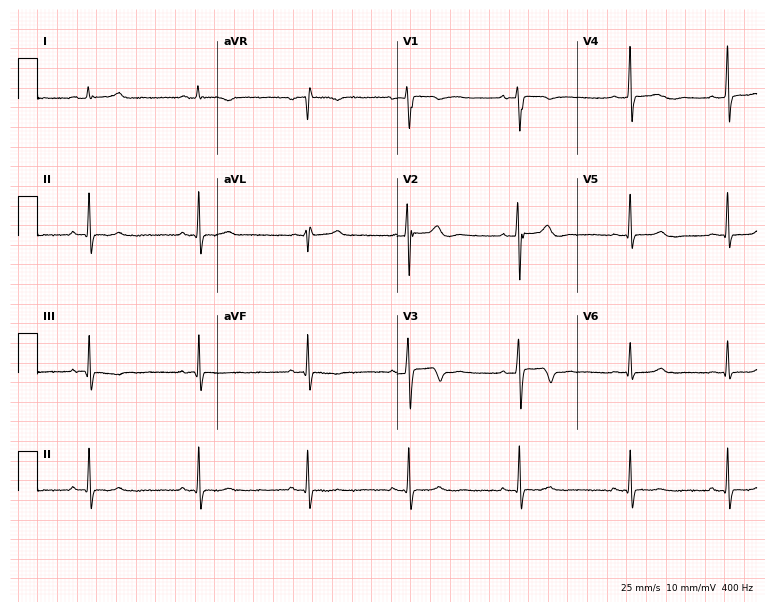
Standard 12-lead ECG recorded from a 24-year-old male patient (7.3-second recording at 400 Hz). Read as a normal ECG.